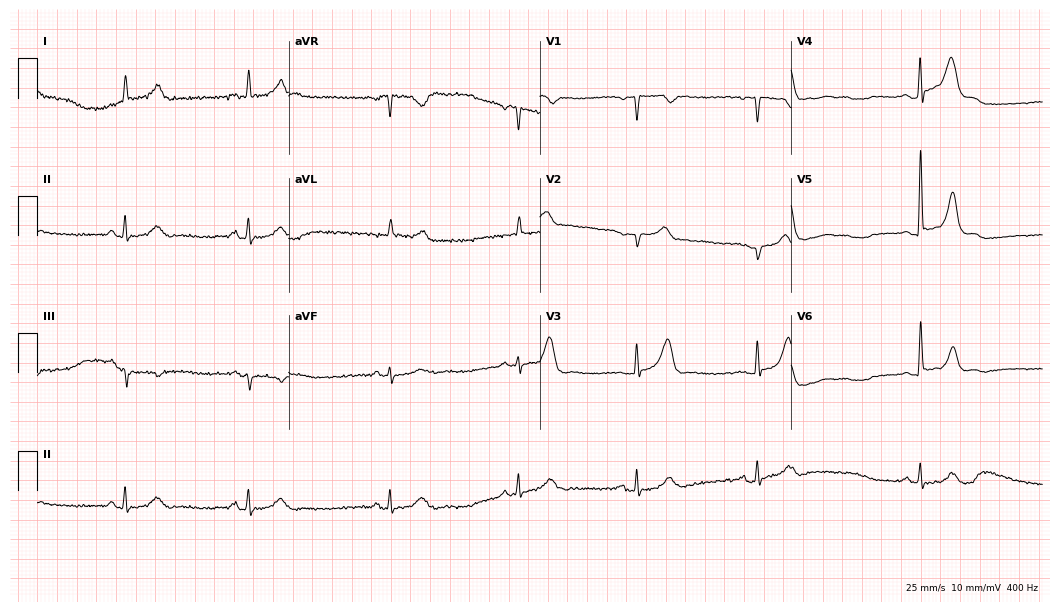
Electrocardiogram (10.2-second recording at 400 Hz), a man, 74 years old. Interpretation includes sinus bradycardia (a sinus rate of 50 beats per minute or less).